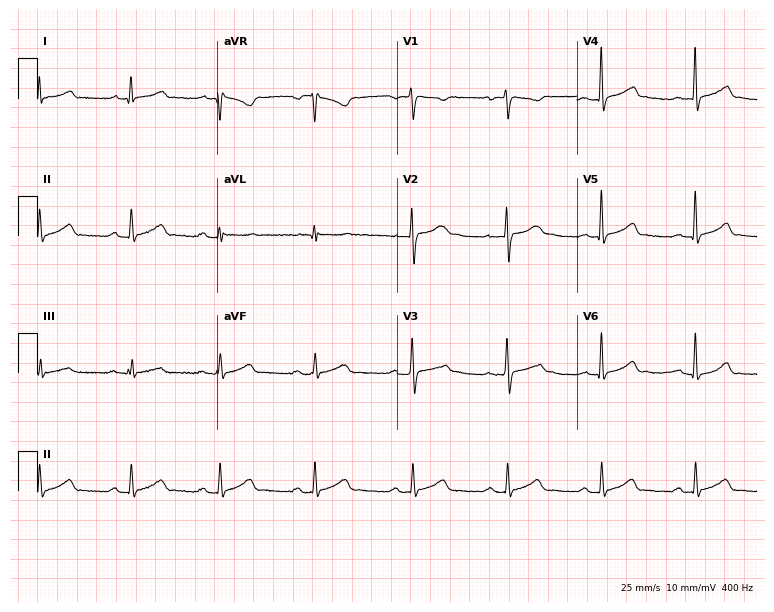
12-lead ECG from a female patient, 31 years old (7.3-second recording at 400 Hz). Recorded interpretation: within normal limits.